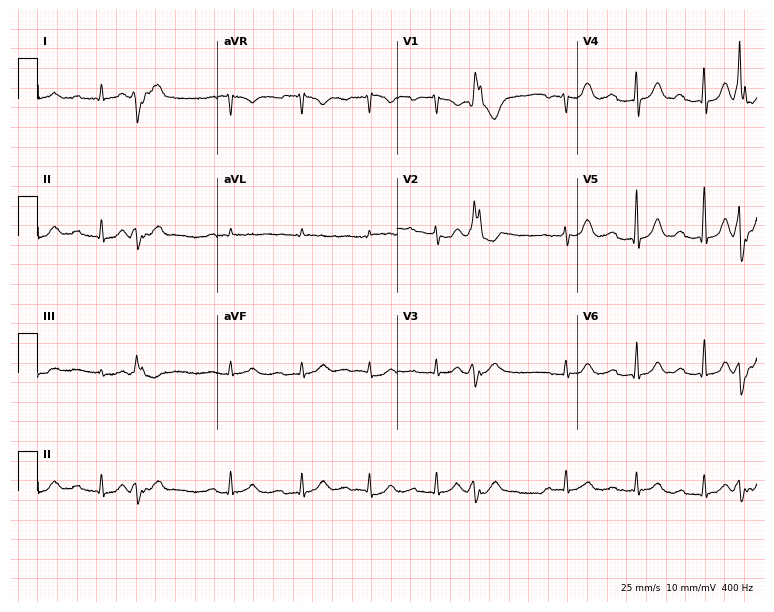
ECG (7.3-second recording at 400 Hz) — an 81-year-old woman. Findings include first-degree AV block, atrial fibrillation.